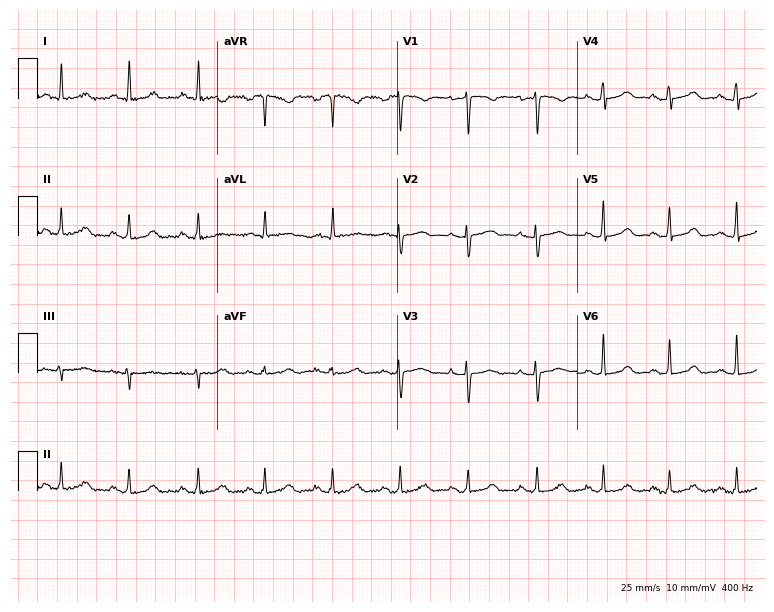
Standard 12-lead ECG recorded from a 39-year-old female patient (7.3-second recording at 400 Hz). Read as a normal ECG.